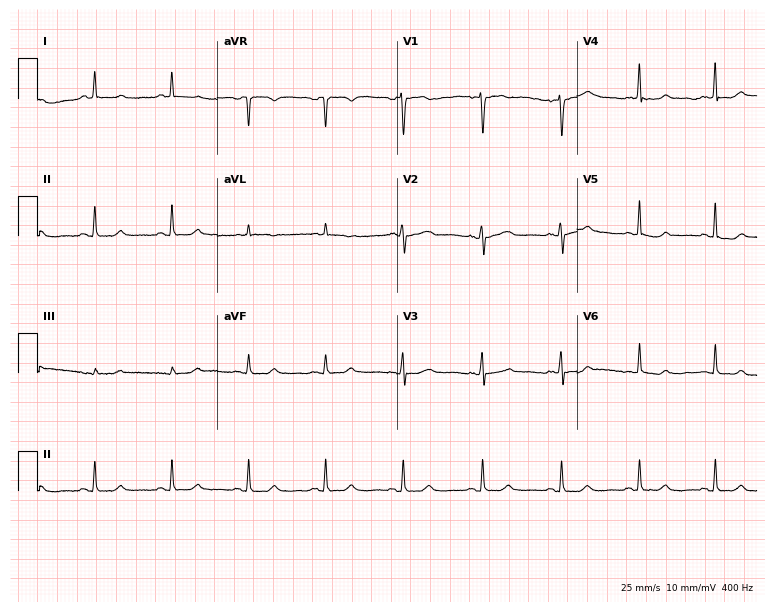
ECG (7.3-second recording at 400 Hz) — a 61-year-old woman. Screened for six findings — first-degree AV block, right bundle branch block, left bundle branch block, sinus bradycardia, atrial fibrillation, sinus tachycardia — none is recorded. Only these six findings were labelled.